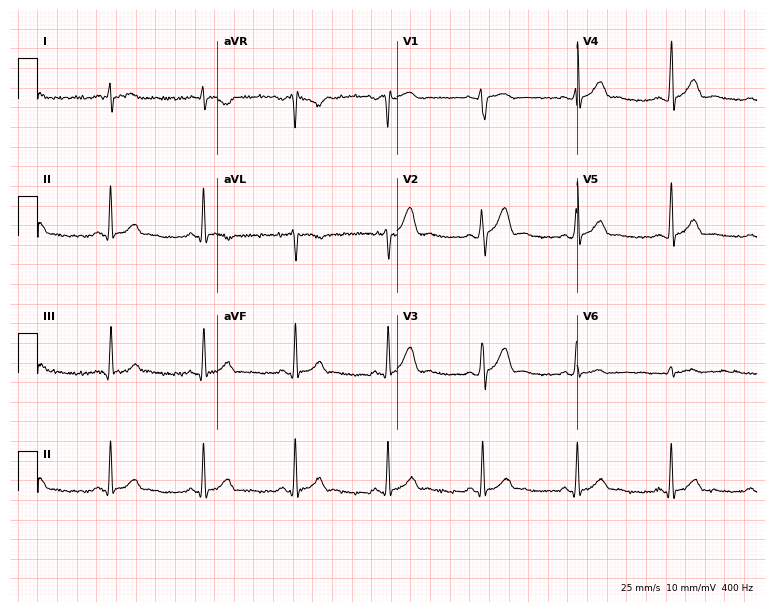
Standard 12-lead ECG recorded from a man, 29 years old. Read as a normal ECG.